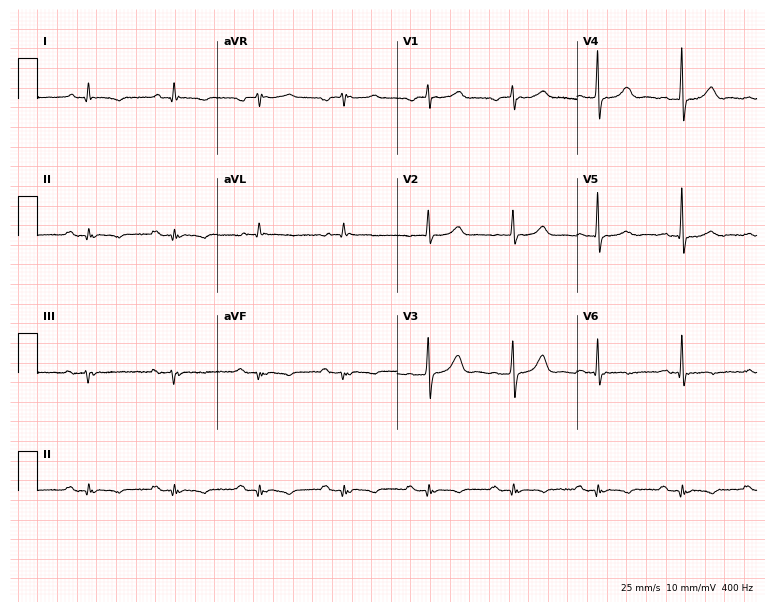
Electrocardiogram (7.3-second recording at 400 Hz), a 75-year-old man. Of the six screened findings (first-degree AV block, right bundle branch block (RBBB), left bundle branch block (LBBB), sinus bradycardia, atrial fibrillation (AF), sinus tachycardia), none is recorded. Only these six findings were labelled.